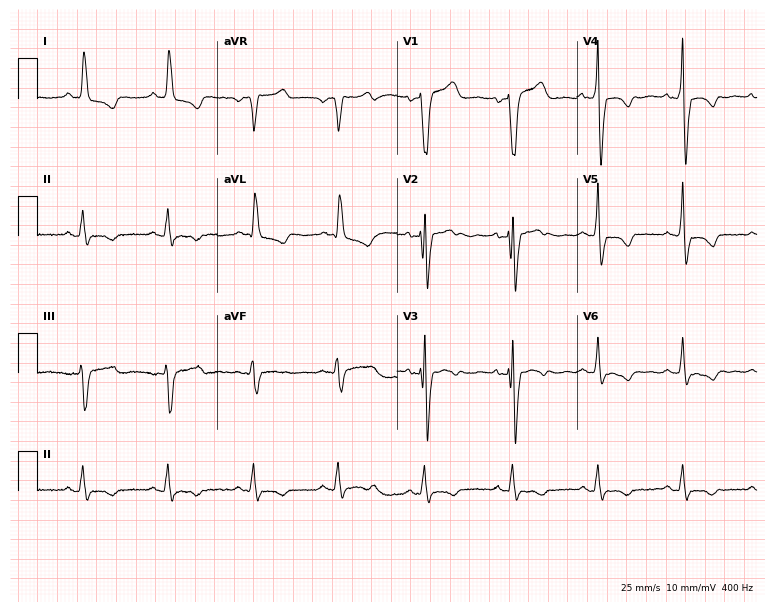
12-lead ECG (7.3-second recording at 400 Hz) from a 40-year-old female patient. Screened for six findings — first-degree AV block, right bundle branch block (RBBB), left bundle branch block (LBBB), sinus bradycardia, atrial fibrillation (AF), sinus tachycardia — none is recorded. Only these six findings were labelled.